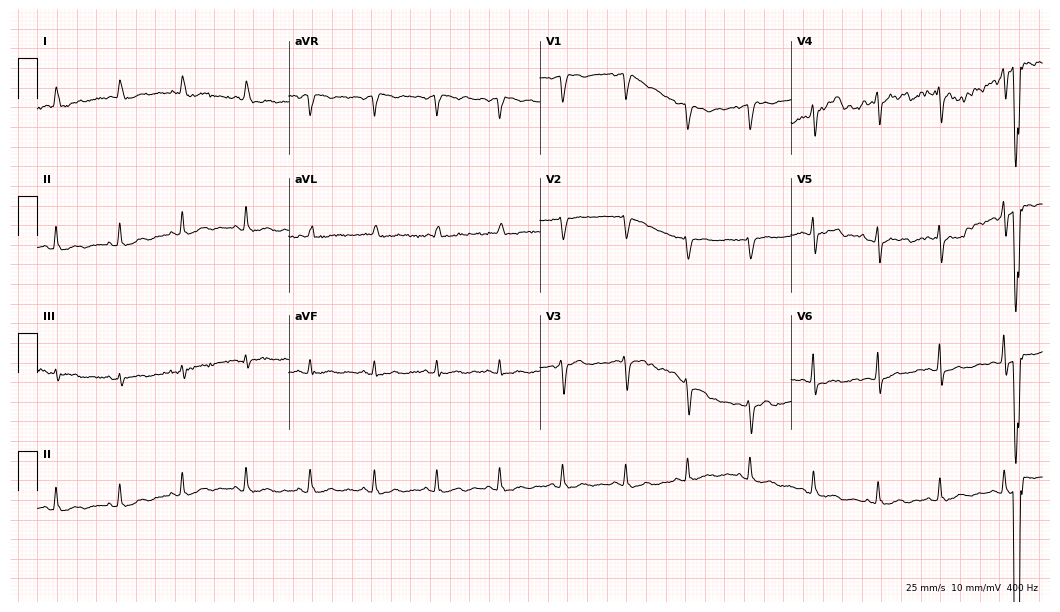
Electrocardiogram, a 57-year-old male patient. Of the six screened findings (first-degree AV block, right bundle branch block (RBBB), left bundle branch block (LBBB), sinus bradycardia, atrial fibrillation (AF), sinus tachycardia), none is recorded. Other findings, if any, are not listed.